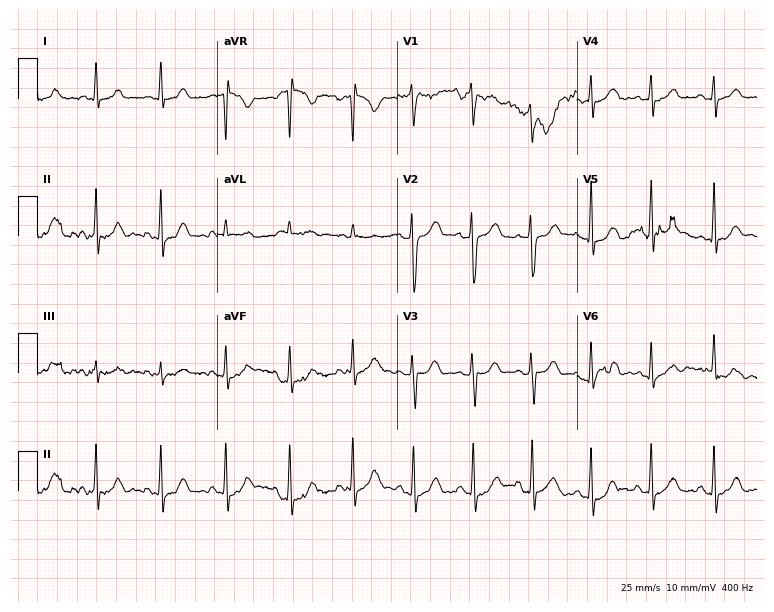
Standard 12-lead ECG recorded from a man, 39 years old. Read as a normal ECG.